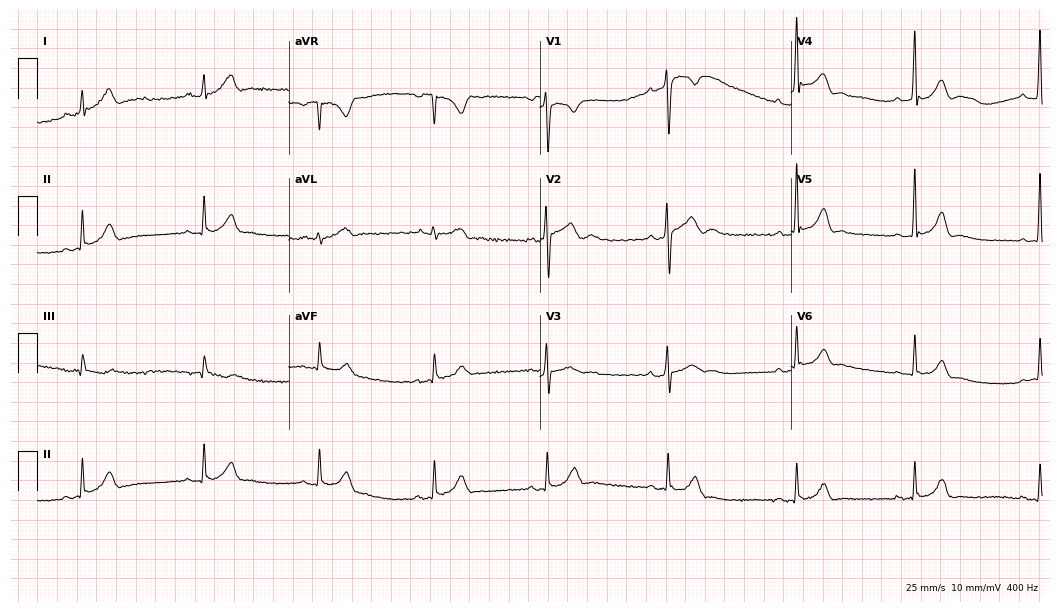
ECG — a male patient, 22 years old. Labelled as a normal ECG.